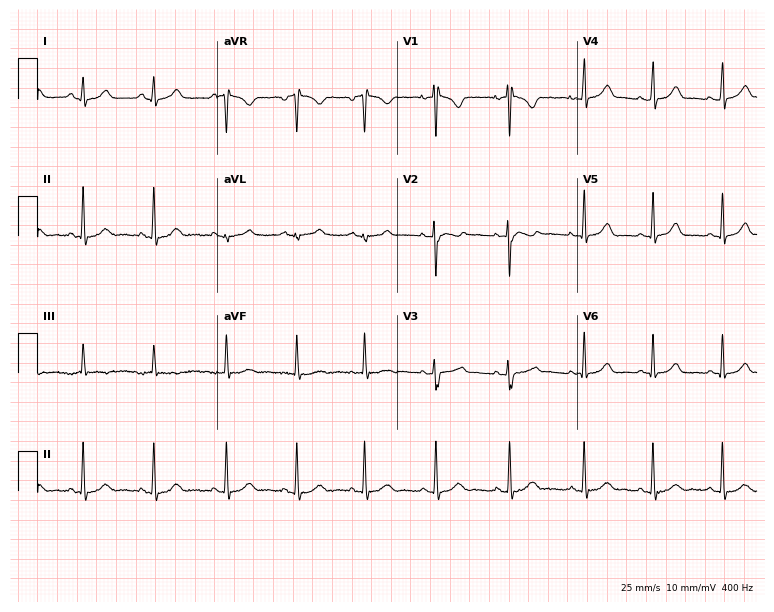
12-lead ECG (7.3-second recording at 400 Hz) from a 20-year-old man. Labelled as a normal ECG.